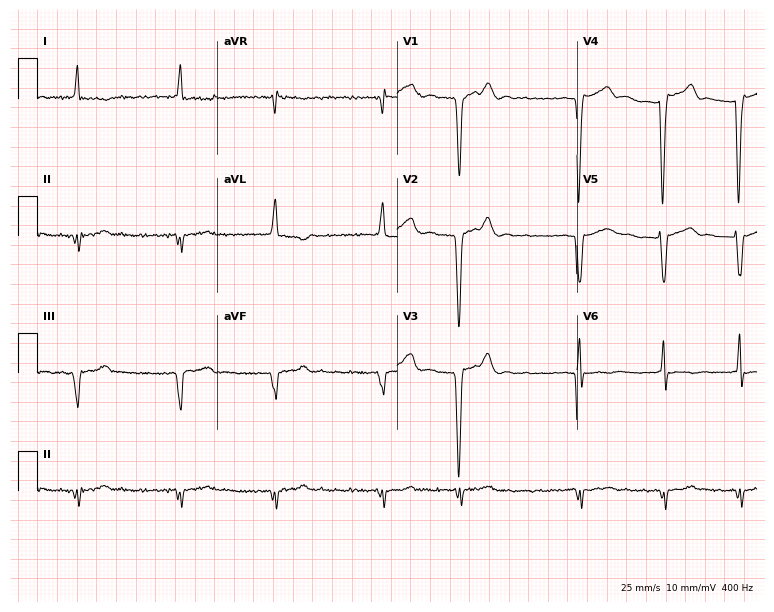
12-lead ECG from an 84-year-old male. Shows atrial fibrillation.